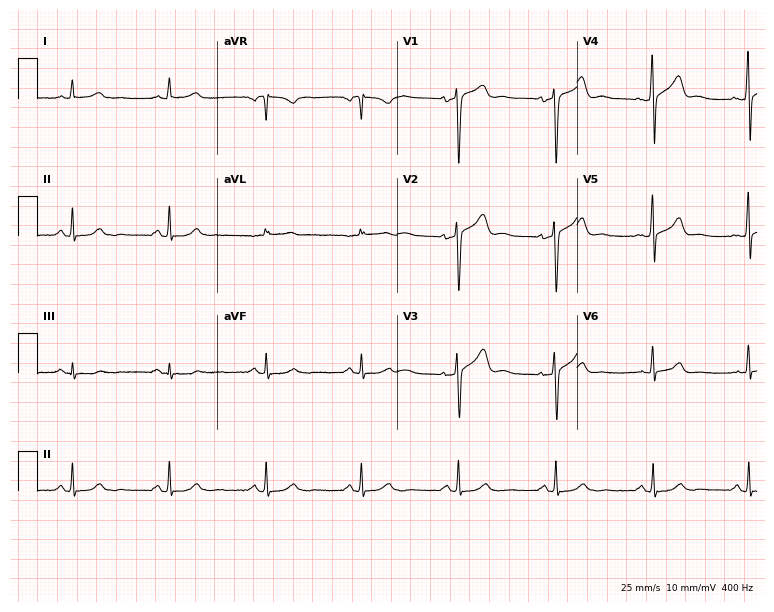
12-lead ECG from a 56-year-old male (7.3-second recording at 400 Hz). No first-degree AV block, right bundle branch block, left bundle branch block, sinus bradycardia, atrial fibrillation or sinus tachycardia recorded for this tracing. Other findings, if any, are not listed.